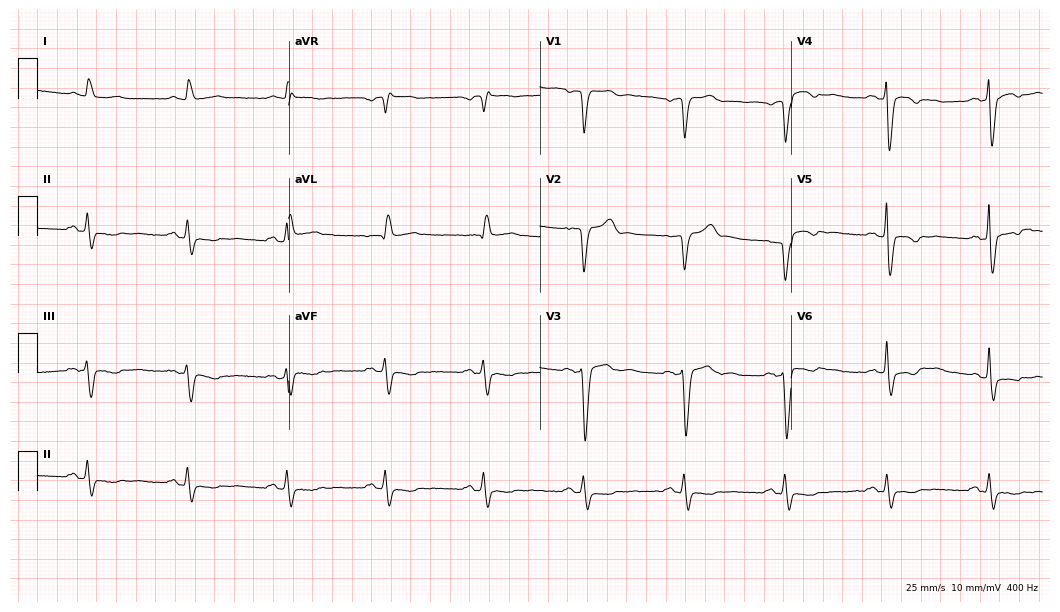
Standard 12-lead ECG recorded from a 73-year-old male patient. The tracing shows left bundle branch block (LBBB).